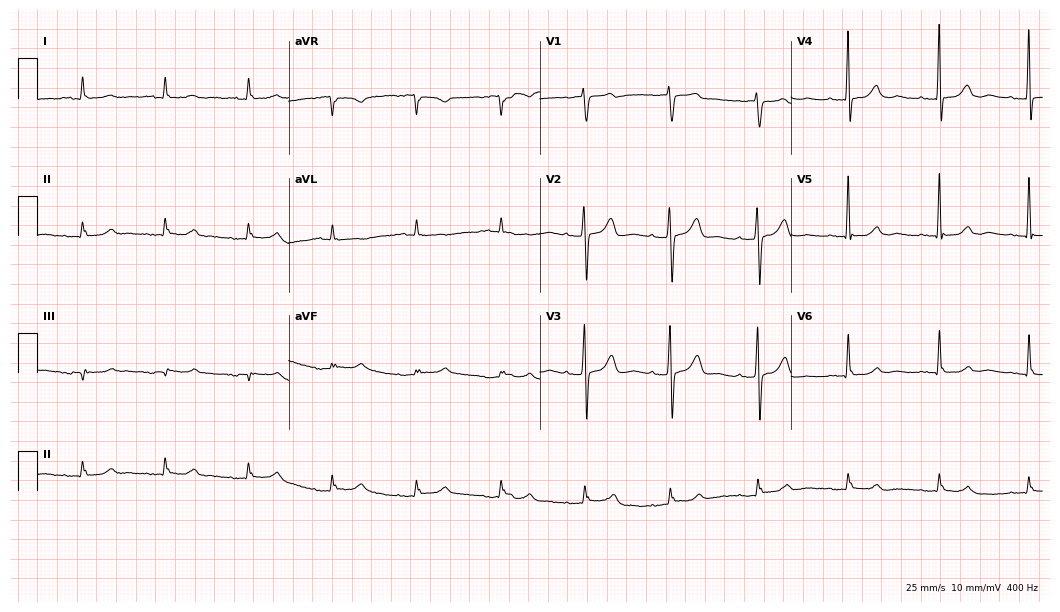
12-lead ECG from a female, 75 years old. Labelled as a normal ECG.